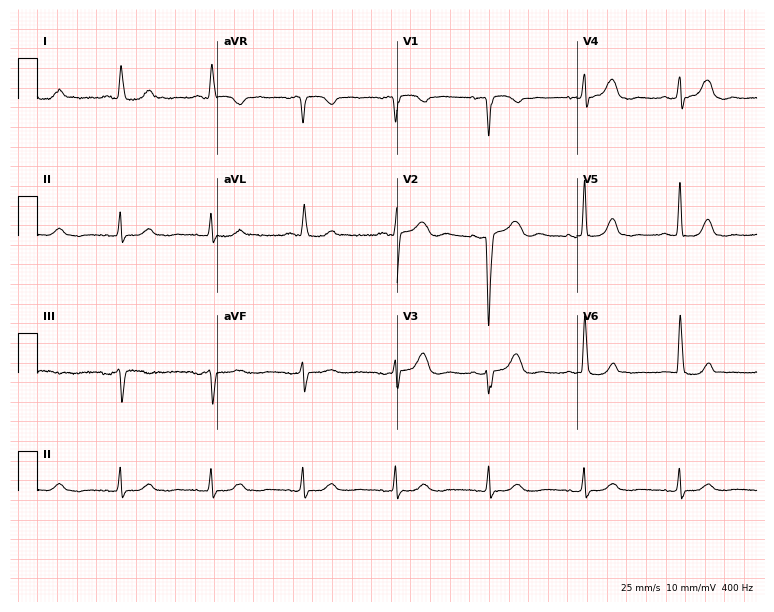
Resting 12-lead electrocardiogram. Patient: a female, 77 years old. Read as a normal ECG.